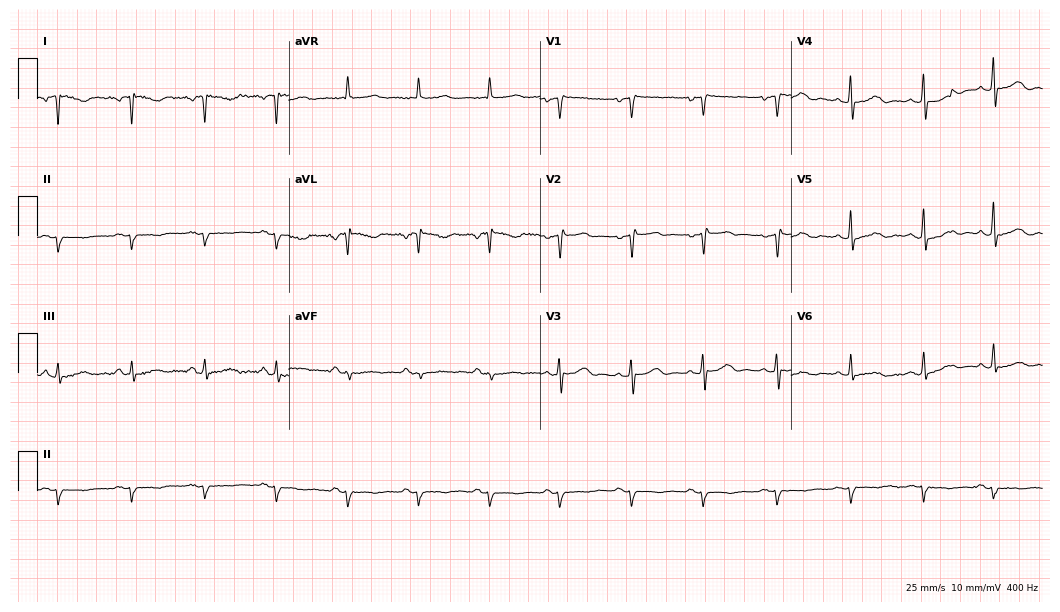
ECG — a 55-year-old woman. Screened for six findings — first-degree AV block, right bundle branch block (RBBB), left bundle branch block (LBBB), sinus bradycardia, atrial fibrillation (AF), sinus tachycardia — none is recorded. Other findings, if any, are not listed.